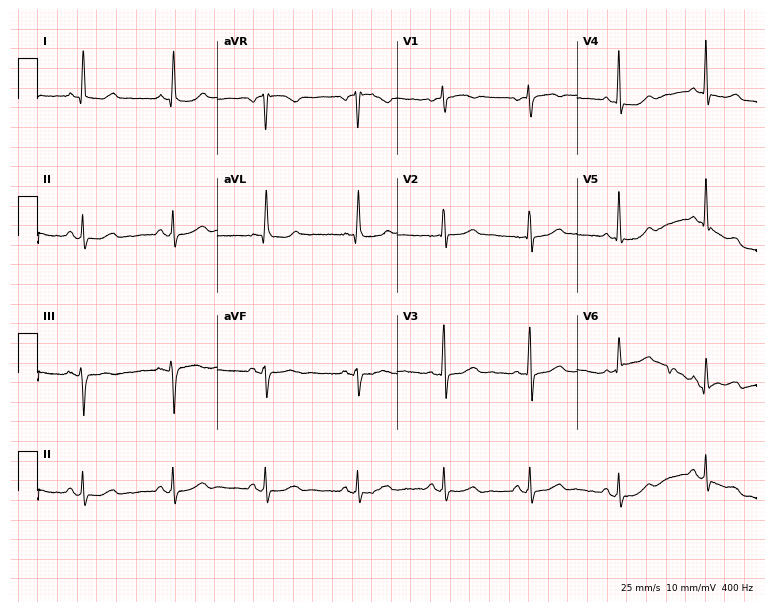
Standard 12-lead ECG recorded from a 52-year-old woman (7.3-second recording at 400 Hz). None of these six findings is recorded: first-degree AV block, right bundle branch block (RBBB), left bundle branch block (LBBB), sinus bradycardia, atrial fibrillation (AF), sinus tachycardia.